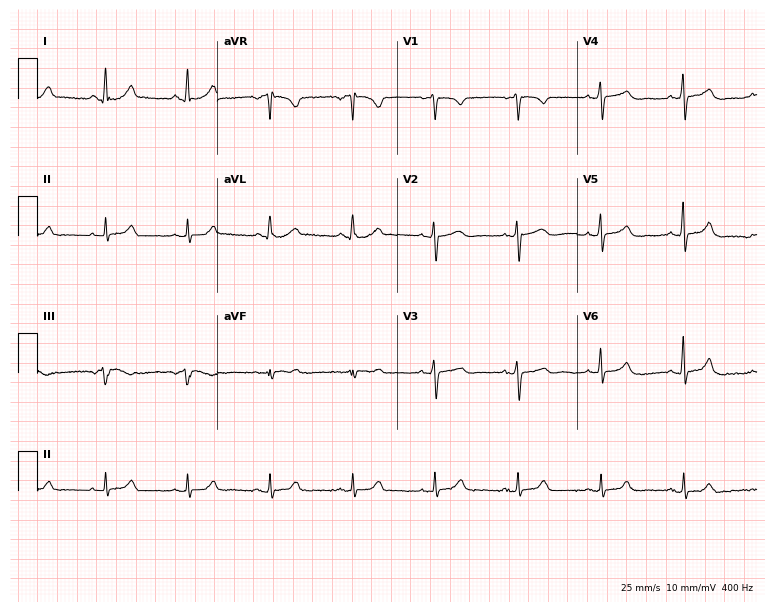
ECG — a female, 51 years old. Labelled as a normal ECG.